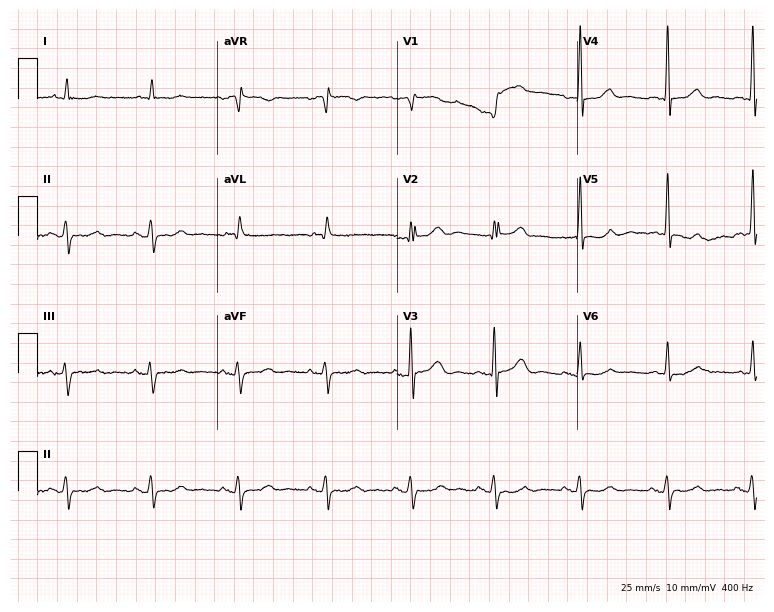
Resting 12-lead electrocardiogram. Patient: a male, 76 years old. None of these six findings is recorded: first-degree AV block, right bundle branch block (RBBB), left bundle branch block (LBBB), sinus bradycardia, atrial fibrillation (AF), sinus tachycardia. Only these six findings were labelled.